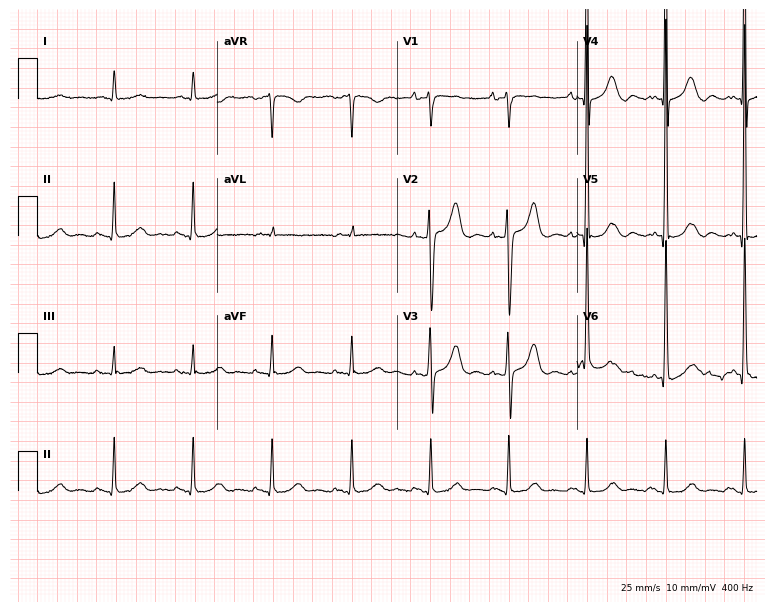
Standard 12-lead ECG recorded from a woman, 83 years old (7.3-second recording at 400 Hz). None of these six findings is recorded: first-degree AV block, right bundle branch block, left bundle branch block, sinus bradycardia, atrial fibrillation, sinus tachycardia.